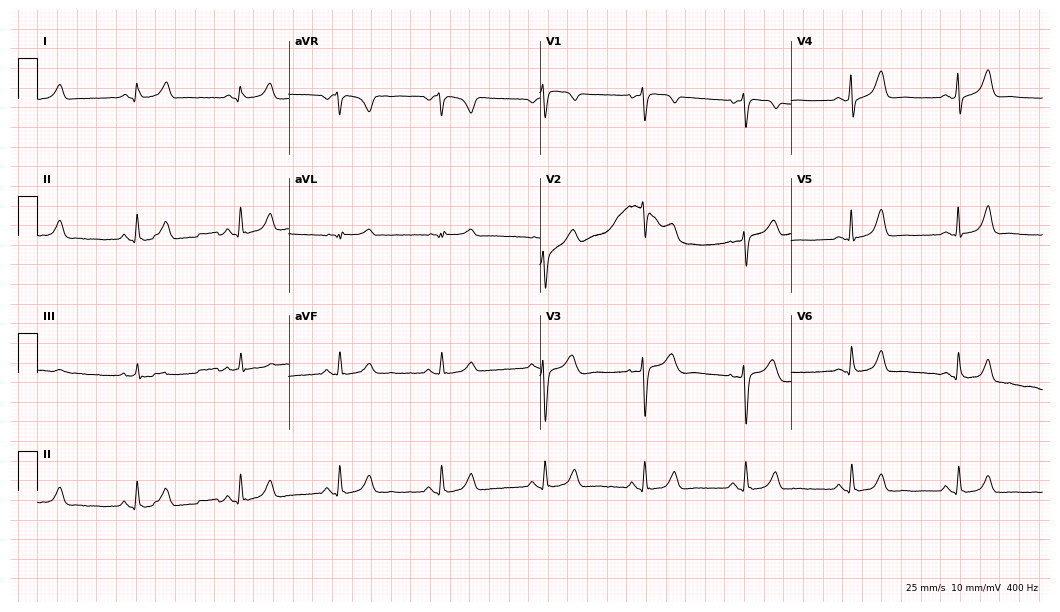
Electrocardiogram (10.2-second recording at 400 Hz), a 43-year-old female patient. Overall reading on record: normal ECG.